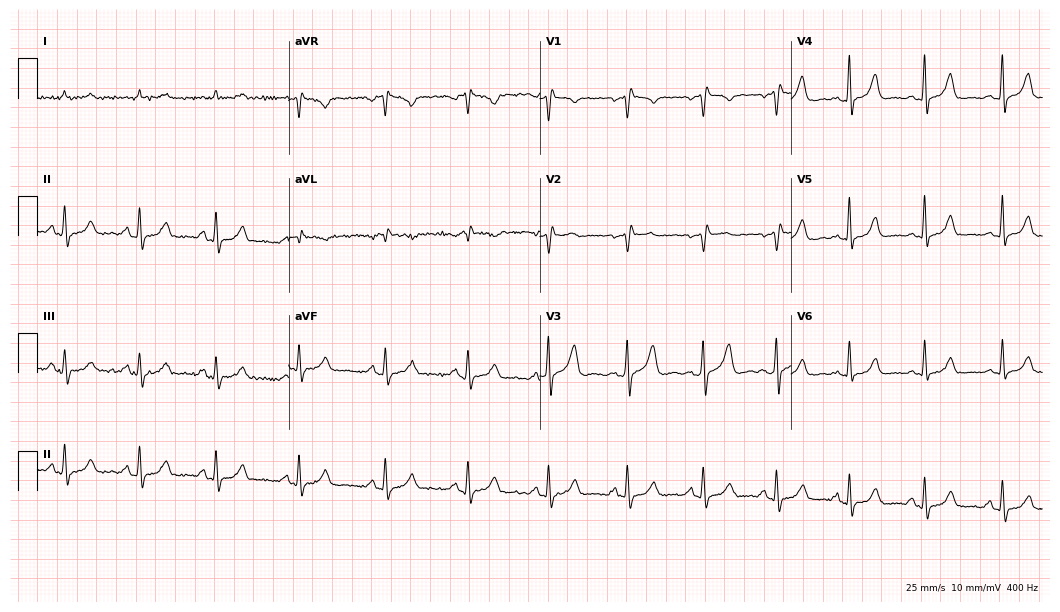
Resting 12-lead electrocardiogram (10.2-second recording at 400 Hz). Patient: a male, 60 years old. None of these six findings is recorded: first-degree AV block, right bundle branch block, left bundle branch block, sinus bradycardia, atrial fibrillation, sinus tachycardia. Other findings, if any, are not listed.